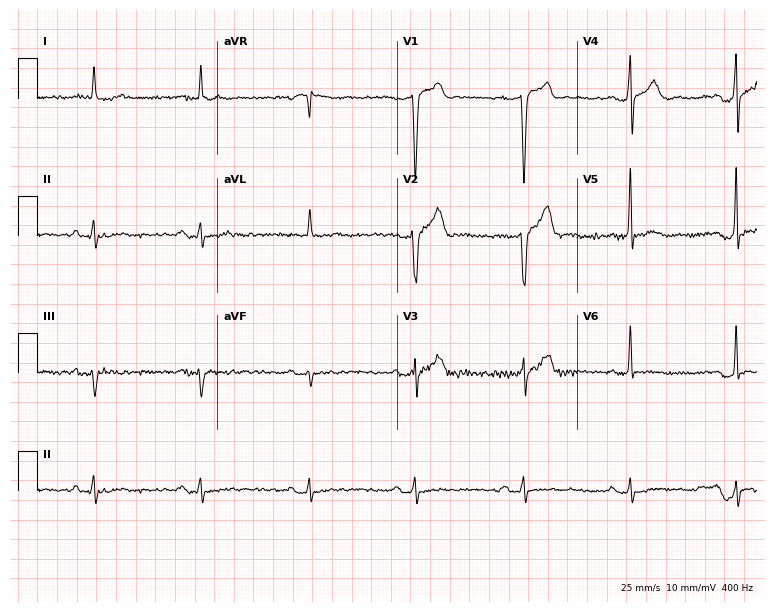
ECG (7.3-second recording at 400 Hz) — a 59-year-old man. Screened for six findings — first-degree AV block, right bundle branch block, left bundle branch block, sinus bradycardia, atrial fibrillation, sinus tachycardia — none is recorded. Findings outside these six are not listed.